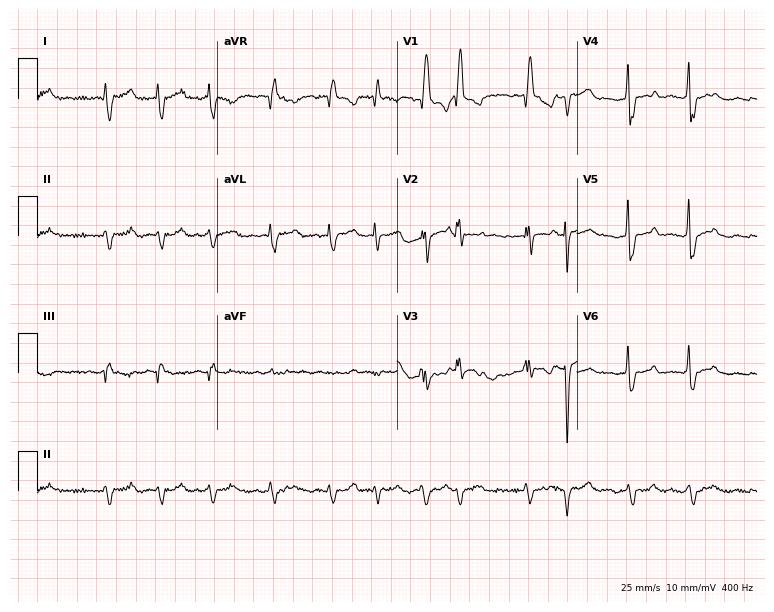
Resting 12-lead electrocardiogram. Patient: a 68-year-old male. The tracing shows right bundle branch block, atrial fibrillation.